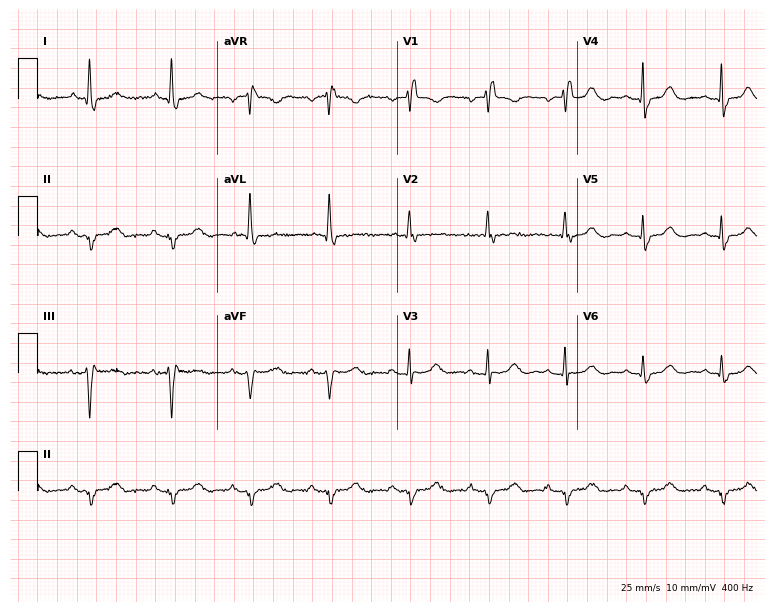
Resting 12-lead electrocardiogram (7.3-second recording at 400 Hz). Patient: a woman, 81 years old. None of these six findings is recorded: first-degree AV block, right bundle branch block, left bundle branch block, sinus bradycardia, atrial fibrillation, sinus tachycardia. Findings outside these six are not listed.